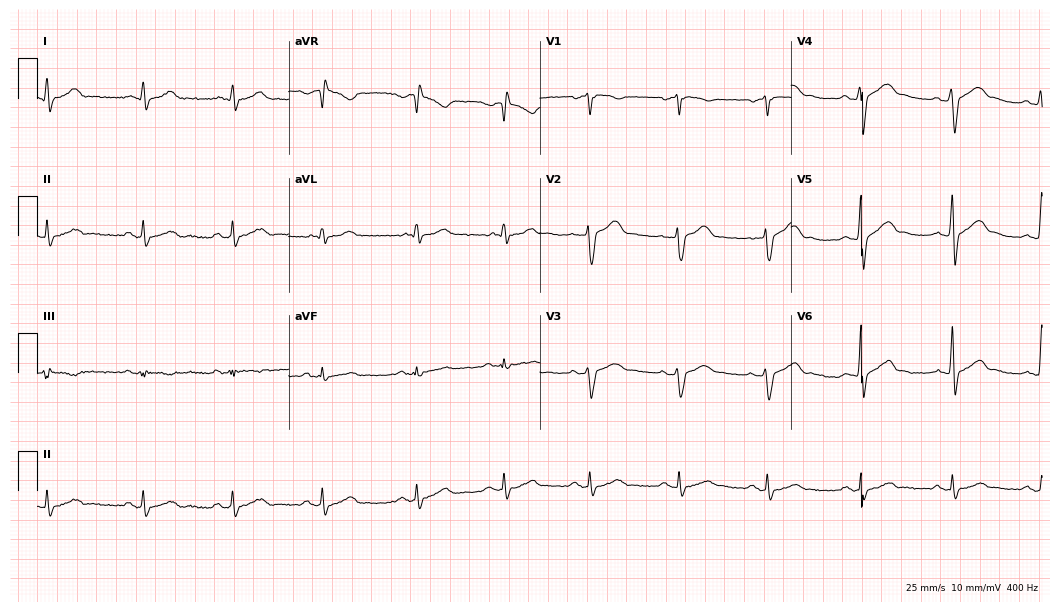
Resting 12-lead electrocardiogram. Patient: a 30-year-old male. None of these six findings is recorded: first-degree AV block, right bundle branch block, left bundle branch block, sinus bradycardia, atrial fibrillation, sinus tachycardia. Only these six findings were labelled.